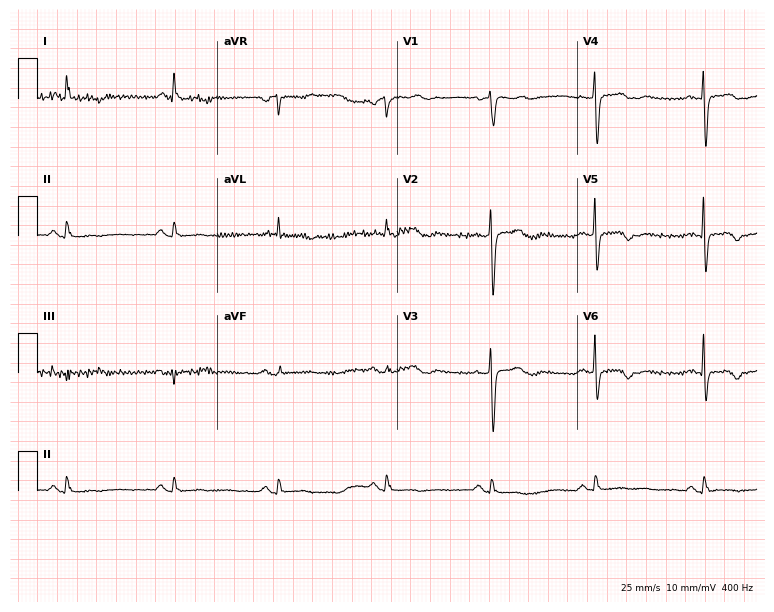
Resting 12-lead electrocardiogram (7.3-second recording at 400 Hz). Patient: a 66-year-old woman. None of these six findings is recorded: first-degree AV block, right bundle branch block, left bundle branch block, sinus bradycardia, atrial fibrillation, sinus tachycardia.